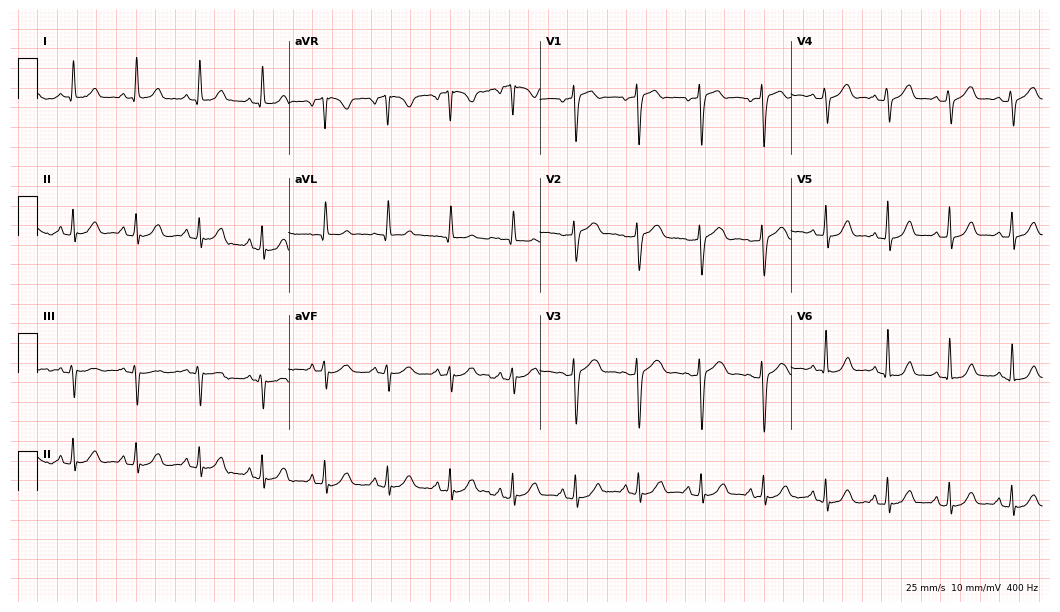
ECG — a 61-year-old woman. Labelled as a normal ECG.